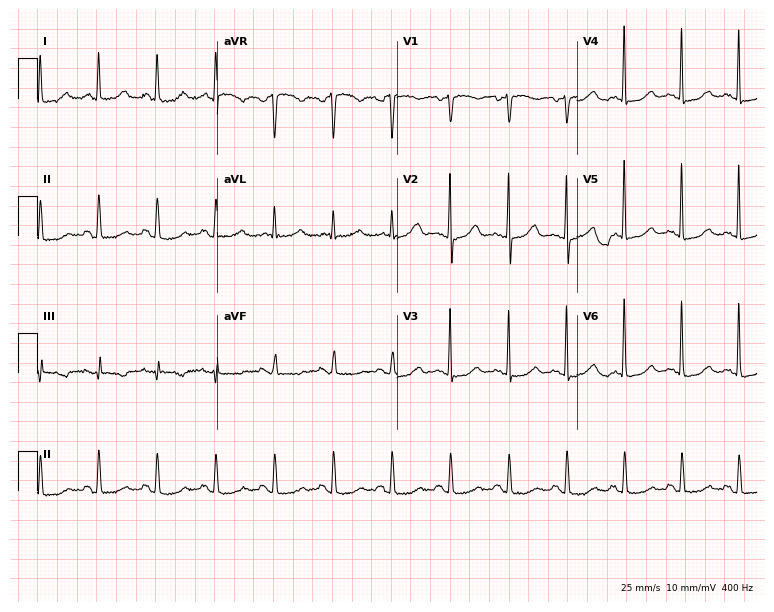
12-lead ECG from a woman, 84 years old (7.3-second recording at 400 Hz). Recorded interpretation: within normal limits.